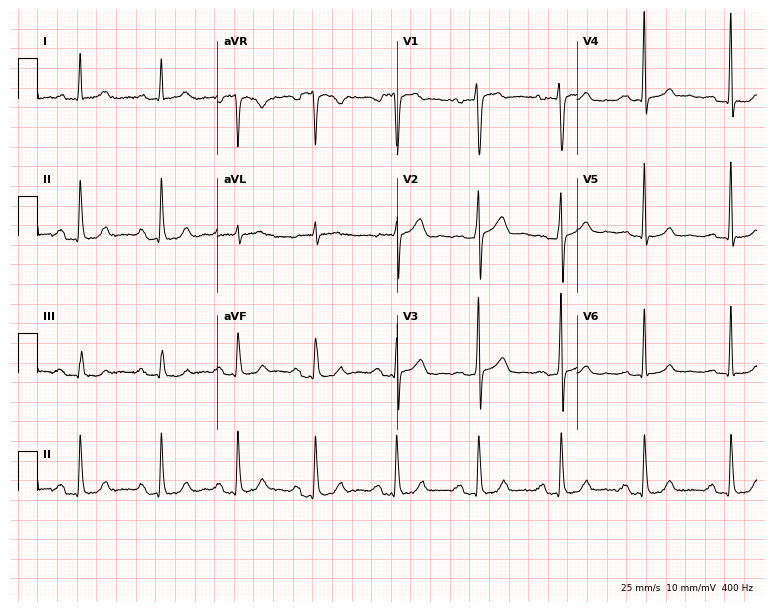
12-lead ECG from a female, 37 years old (7.3-second recording at 400 Hz). Shows first-degree AV block.